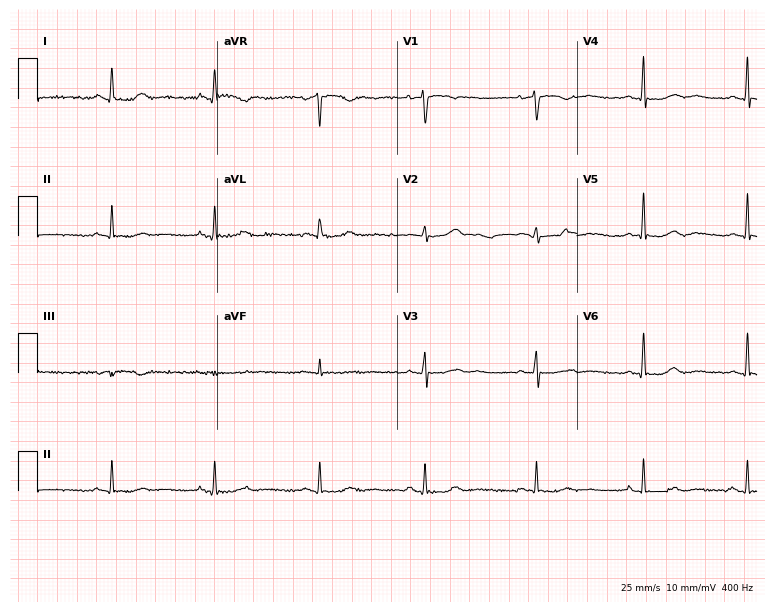
Resting 12-lead electrocardiogram (7.3-second recording at 400 Hz). Patient: a female, 62 years old. Read as a normal ECG.